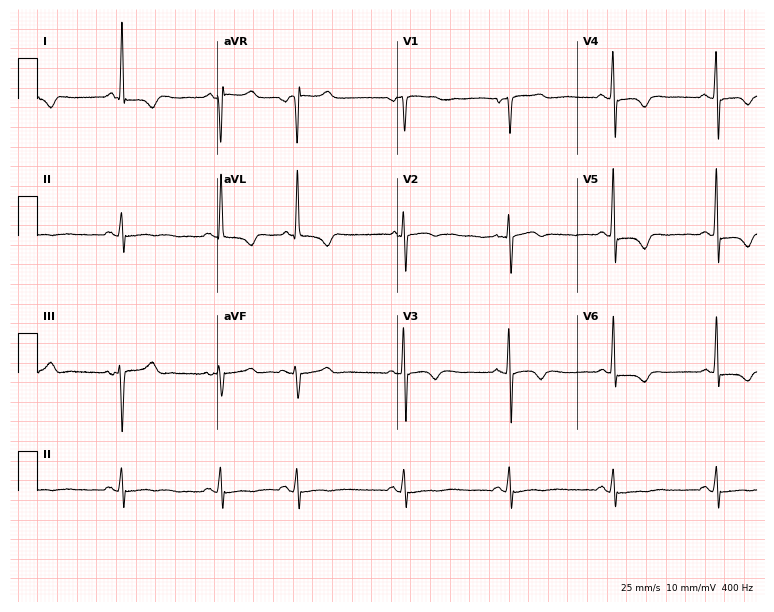
Electrocardiogram, a 66-year-old female. Overall reading on record: normal ECG.